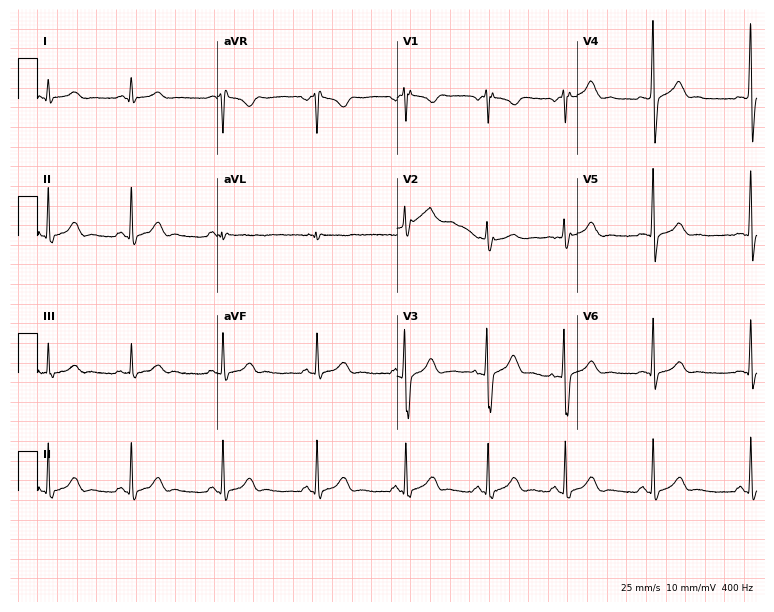
Electrocardiogram, a 26-year-old woman. Of the six screened findings (first-degree AV block, right bundle branch block (RBBB), left bundle branch block (LBBB), sinus bradycardia, atrial fibrillation (AF), sinus tachycardia), none is recorded. Findings outside these six are not listed.